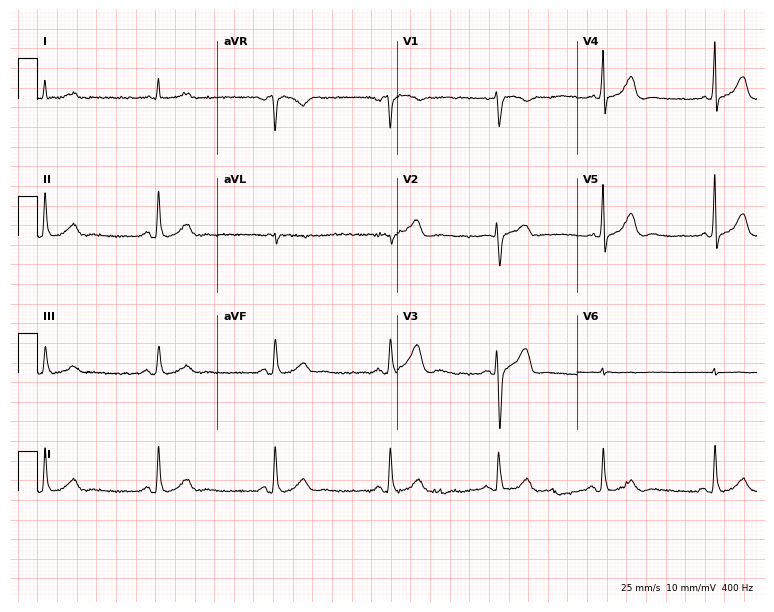
12-lead ECG from a 54-year-old male patient (7.3-second recording at 400 Hz). Recorded interpretation: within normal limits.